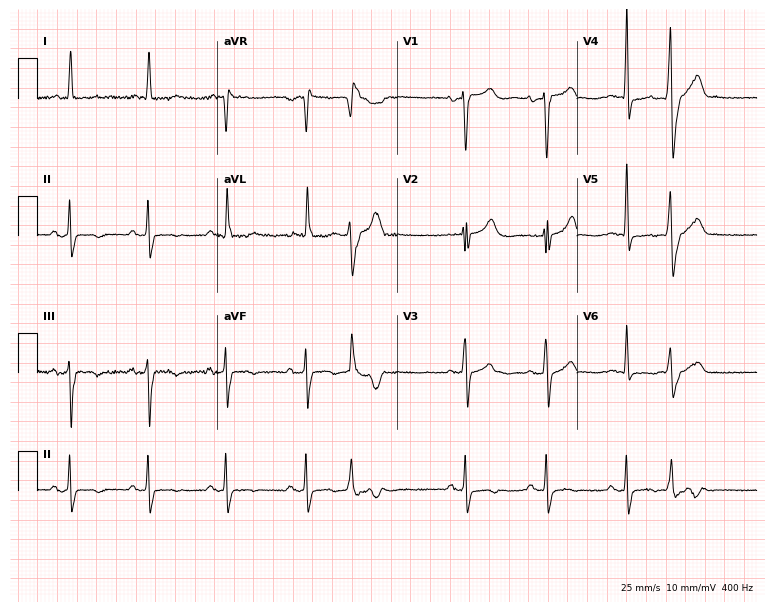
Resting 12-lead electrocardiogram. Patient: a woman, 79 years old. None of these six findings is recorded: first-degree AV block, right bundle branch block (RBBB), left bundle branch block (LBBB), sinus bradycardia, atrial fibrillation (AF), sinus tachycardia.